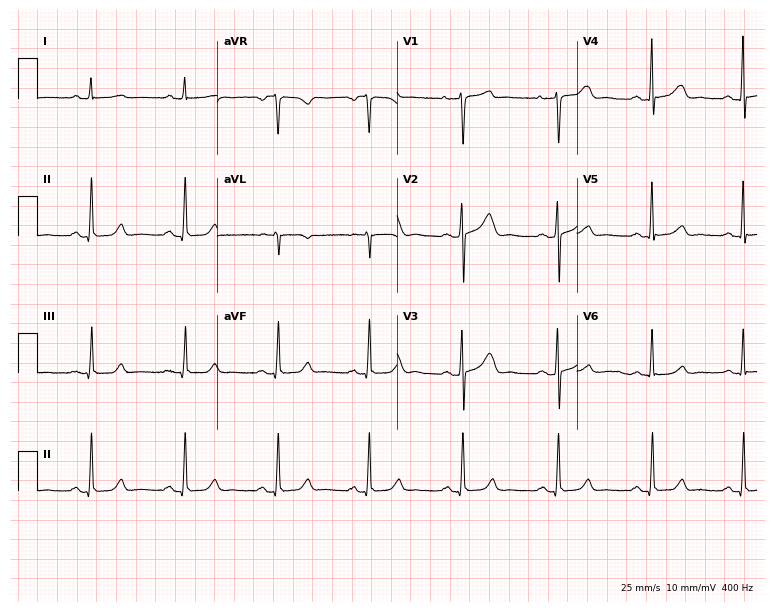
12-lead ECG from a 47-year-old woman. Screened for six findings — first-degree AV block, right bundle branch block, left bundle branch block, sinus bradycardia, atrial fibrillation, sinus tachycardia — none is recorded. Only these six findings were labelled.